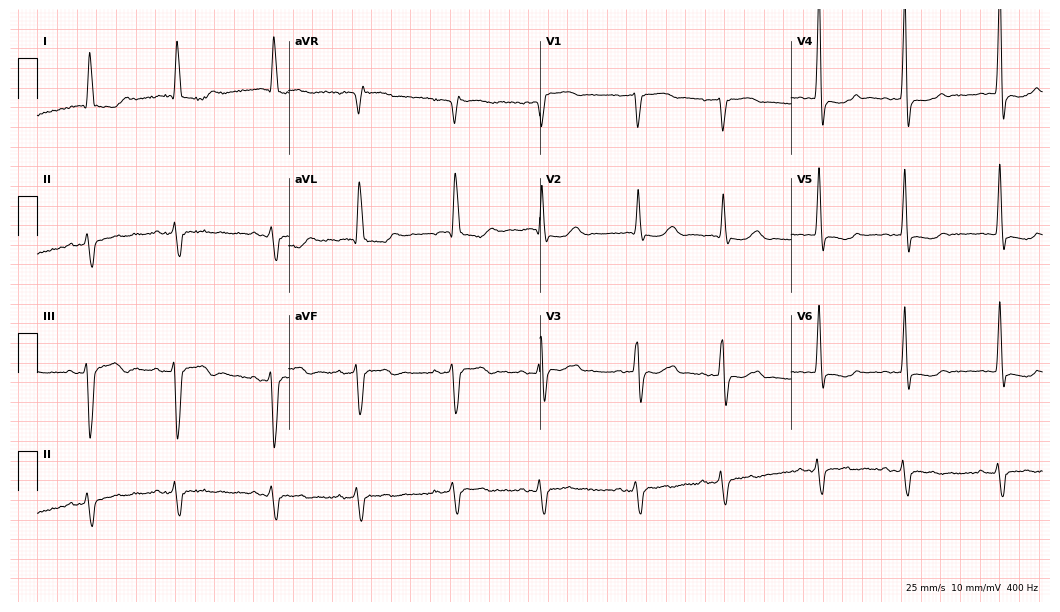
Standard 12-lead ECG recorded from an 82-year-old female patient (10.2-second recording at 400 Hz). None of these six findings is recorded: first-degree AV block, right bundle branch block (RBBB), left bundle branch block (LBBB), sinus bradycardia, atrial fibrillation (AF), sinus tachycardia. Other findings, if any, are not listed.